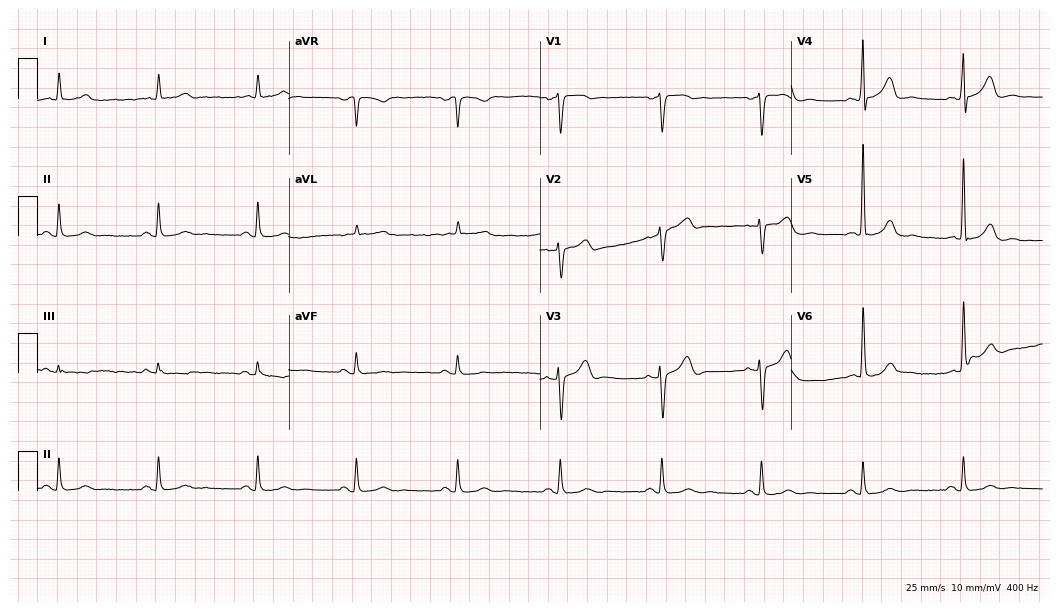
ECG (10.2-second recording at 400 Hz) — a male patient, 81 years old. Labelled as a normal ECG.